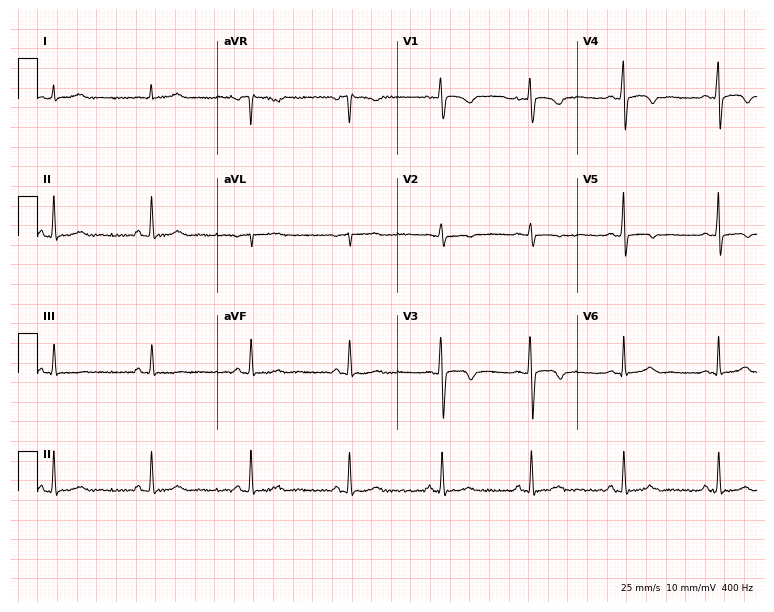
Resting 12-lead electrocardiogram. Patient: a 33-year-old female. None of these six findings is recorded: first-degree AV block, right bundle branch block, left bundle branch block, sinus bradycardia, atrial fibrillation, sinus tachycardia. Other findings, if any, are not listed.